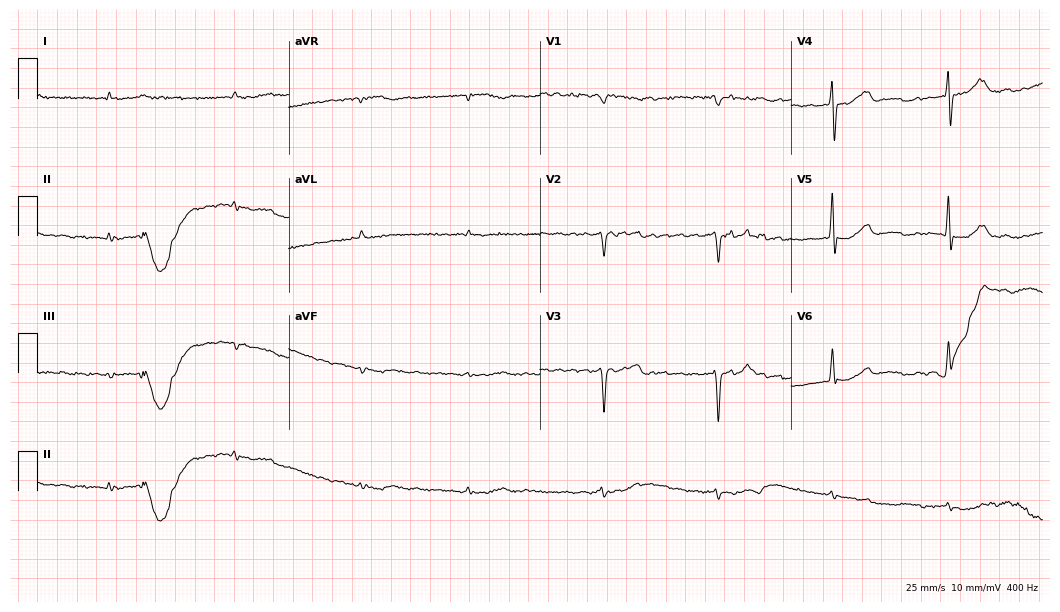
Electrocardiogram, an 82-year-old male patient. Interpretation includes atrial fibrillation.